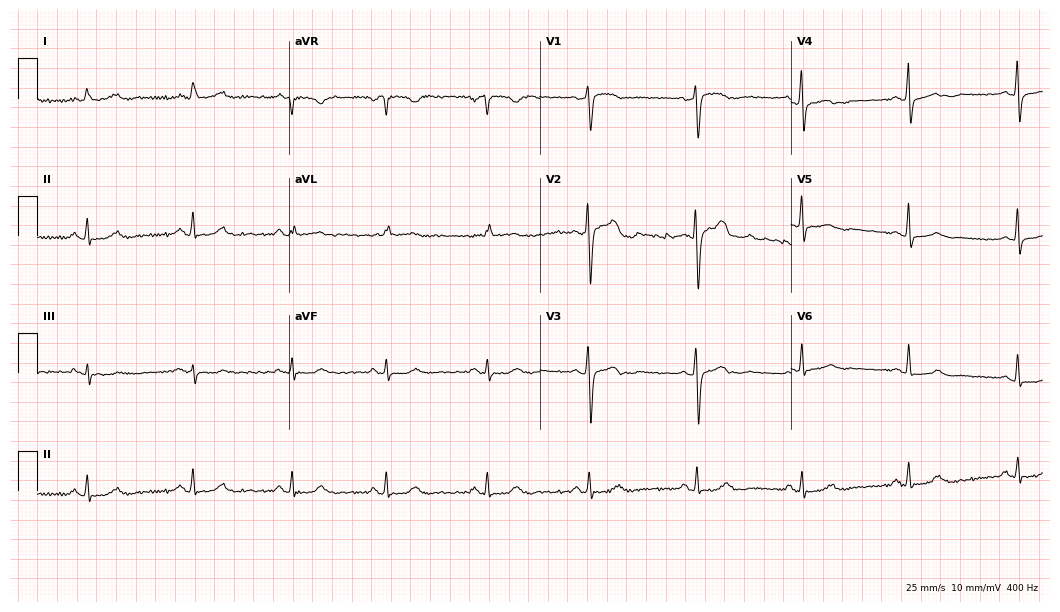
Resting 12-lead electrocardiogram. Patient: a 60-year-old woman. None of these six findings is recorded: first-degree AV block, right bundle branch block, left bundle branch block, sinus bradycardia, atrial fibrillation, sinus tachycardia. Other findings, if any, are not listed.